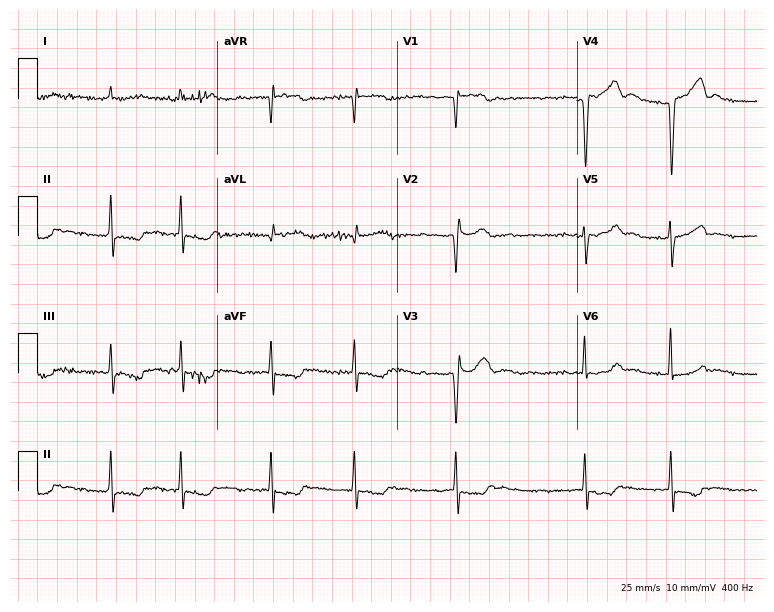
Resting 12-lead electrocardiogram. Patient: a 79-year-old male. None of these six findings is recorded: first-degree AV block, right bundle branch block, left bundle branch block, sinus bradycardia, atrial fibrillation, sinus tachycardia. Other findings, if any, are not listed.